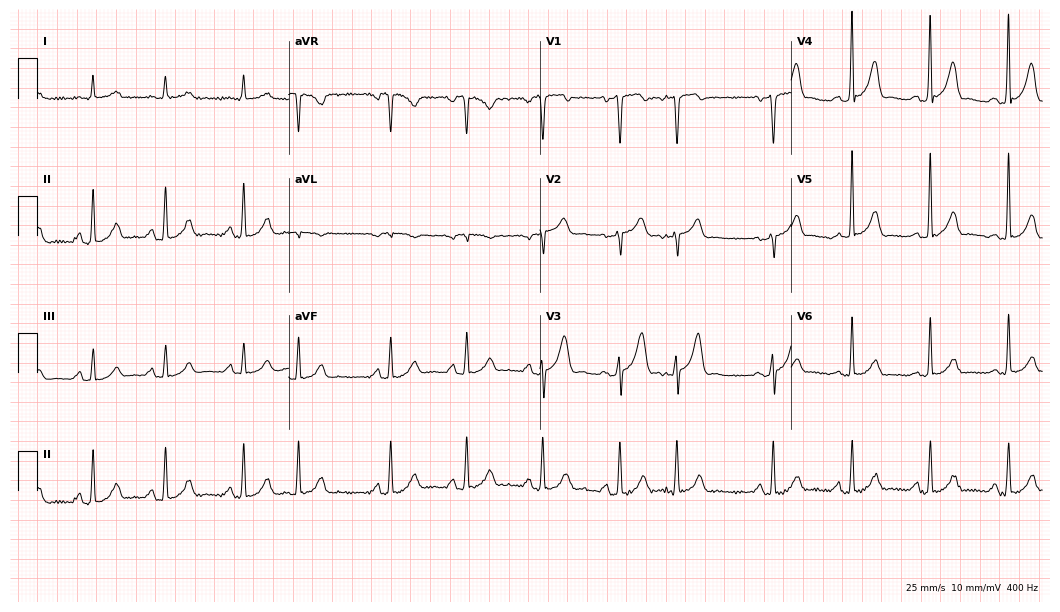
Resting 12-lead electrocardiogram (10.2-second recording at 400 Hz). Patient: a male, 68 years old. Read as a normal ECG.